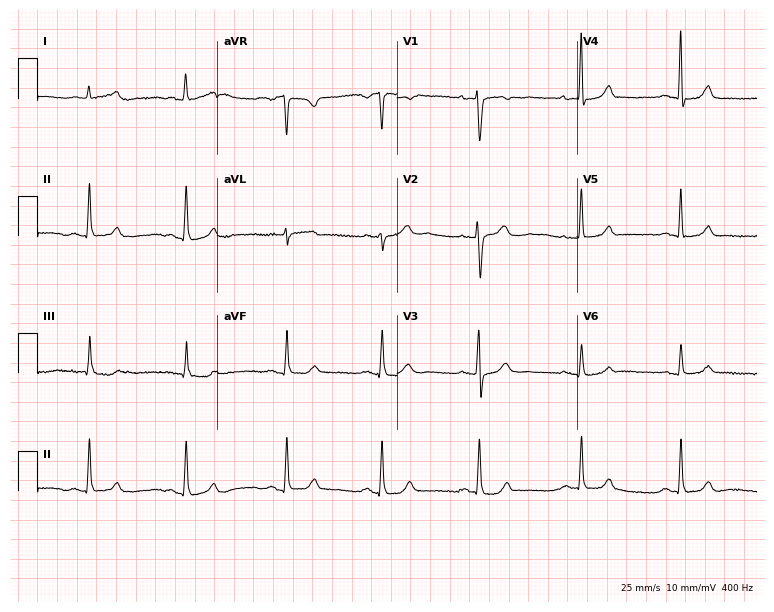
Electrocardiogram, a 48-year-old woman. Overall reading on record: normal ECG.